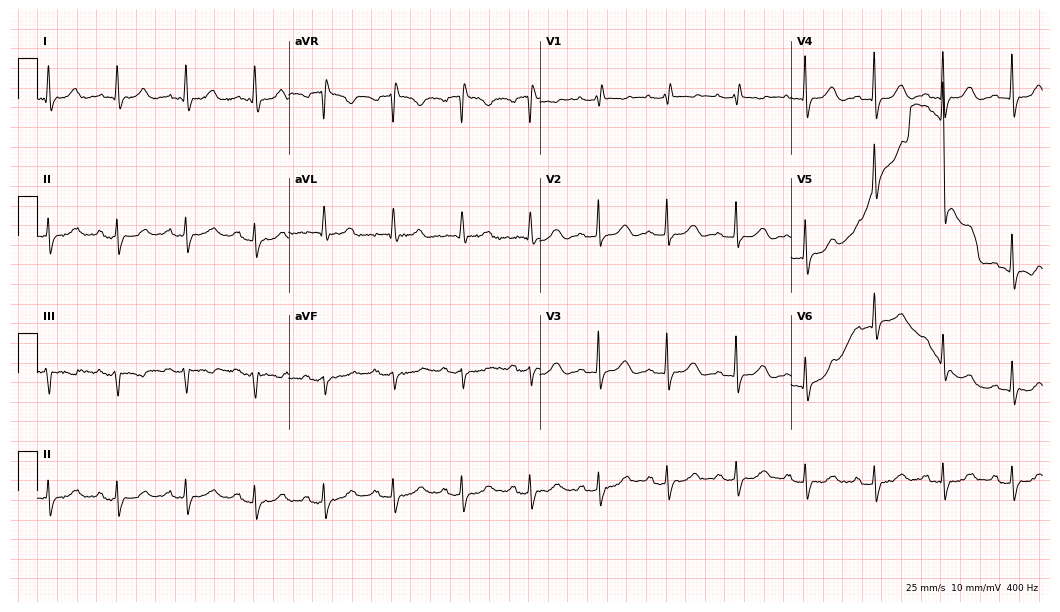
Resting 12-lead electrocardiogram. Patient: a woman, 78 years old. Read as a normal ECG.